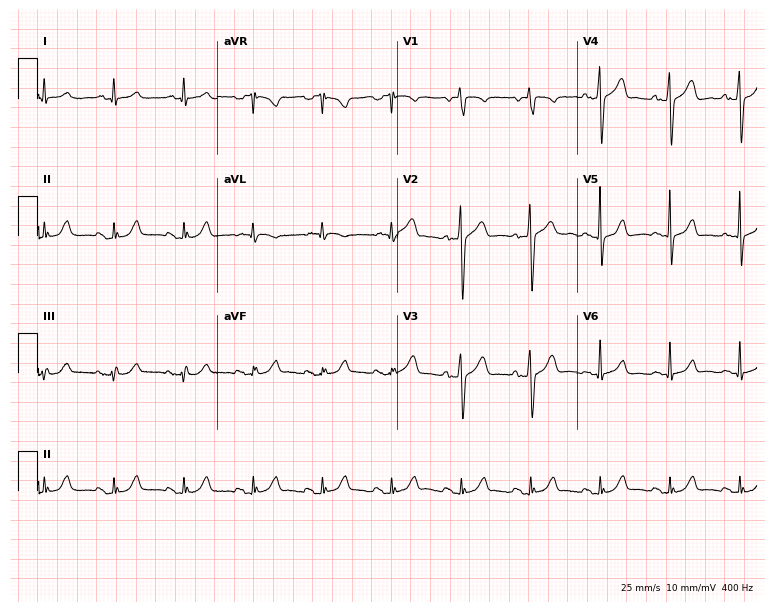
Resting 12-lead electrocardiogram. Patient: a male, 66 years old. Read as a normal ECG.